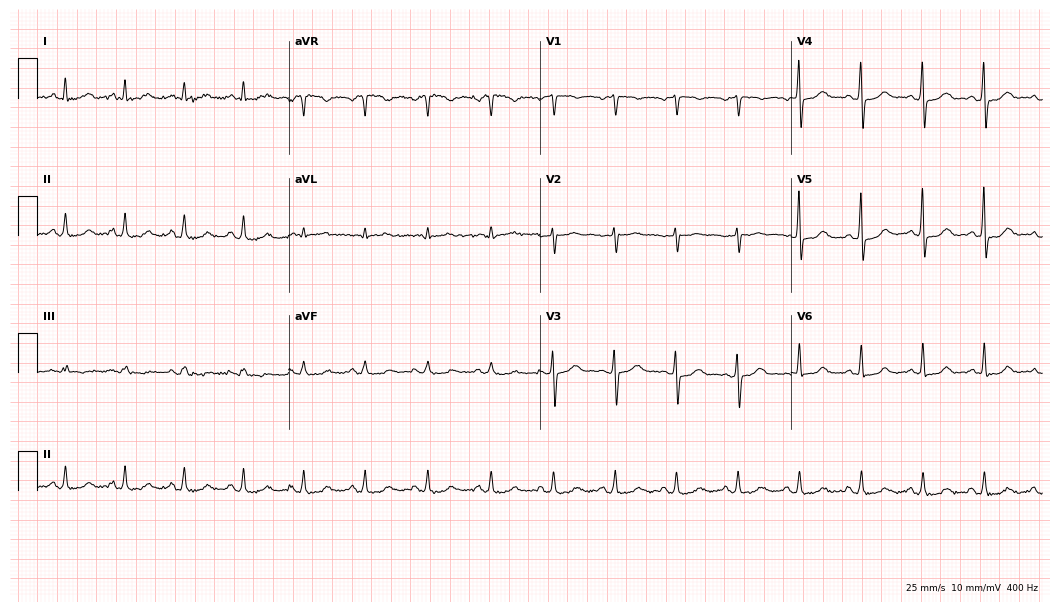
Standard 12-lead ECG recorded from a woman, 54 years old. Read as a normal ECG.